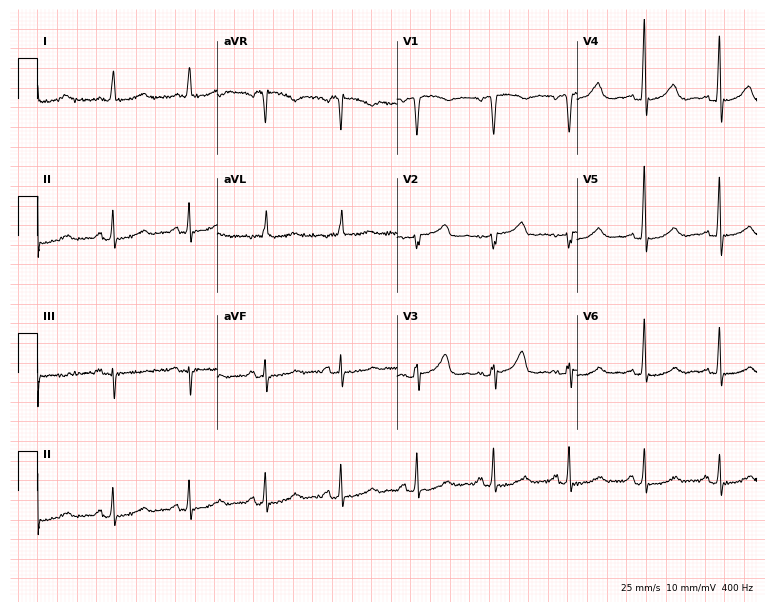
Standard 12-lead ECG recorded from a 72-year-old female patient (7.3-second recording at 400 Hz). None of these six findings is recorded: first-degree AV block, right bundle branch block, left bundle branch block, sinus bradycardia, atrial fibrillation, sinus tachycardia.